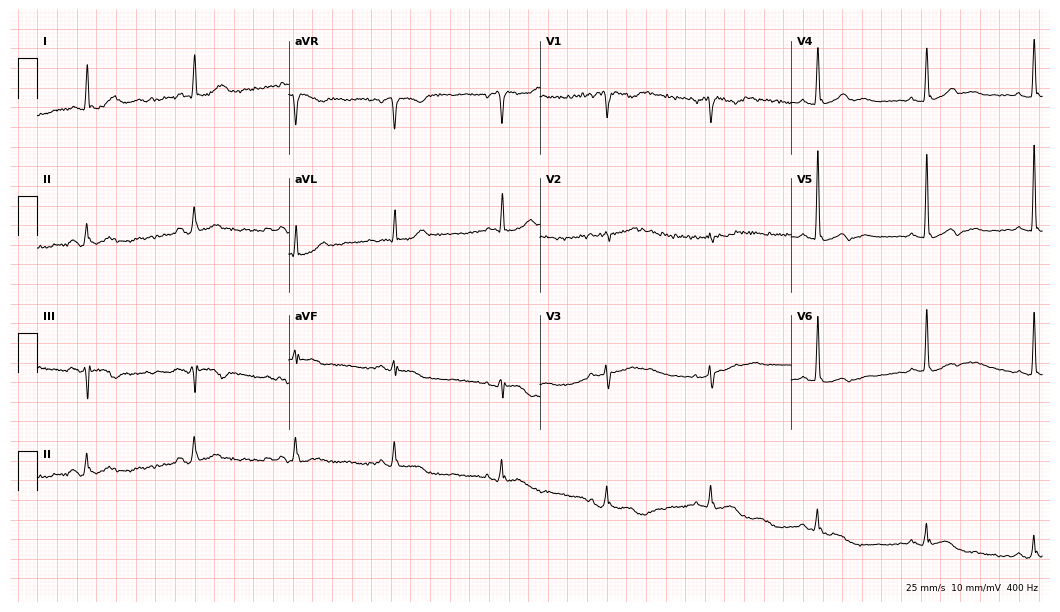
12-lead ECG from a female, 85 years old. Screened for six findings — first-degree AV block, right bundle branch block, left bundle branch block, sinus bradycardia, atrial fibrillation, sinus tachycardia — none is recorded.